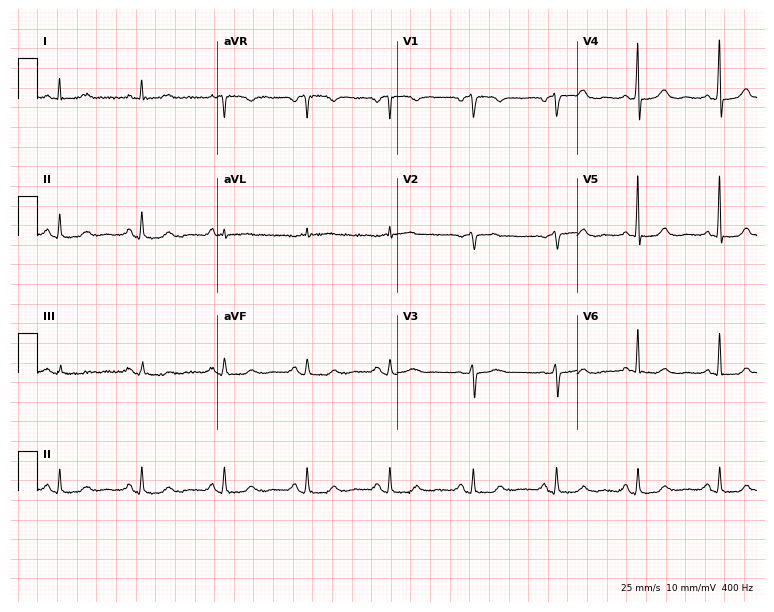
ECG (7.3-second recording at 400 Hz) — a 70-year-old female patient. Screened for six findings — first-degree AV block, right bundle branch block (RBBB), left bundle branch block (LBBB), sinus bradycardia, atrial fibrillation (AF), sinus tachycardia — none is recorded.